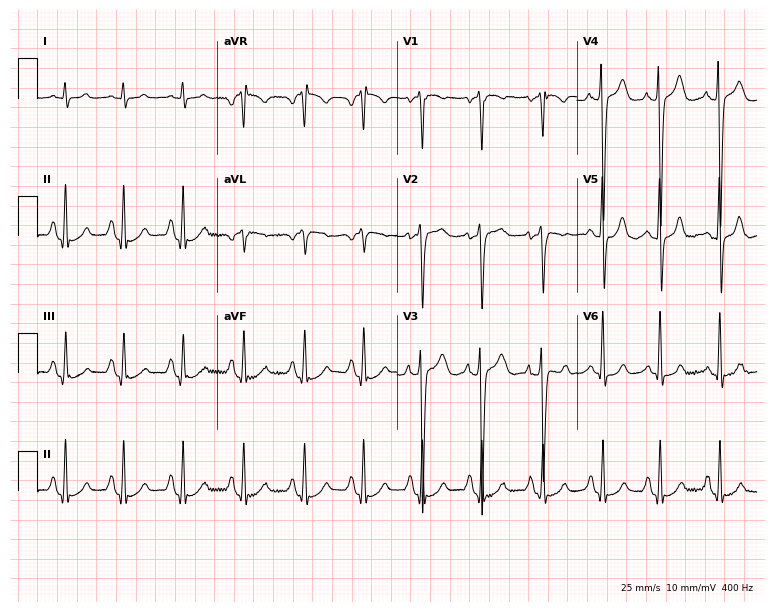
12-lead ECG (7.3-second recording at 400 Hz) from a male, 66 years old. Screened for six findings — first-degree AV block, right bundle branch block, left bundle branch block, sinus bradycardia, atrial fibrillation, sinus tachycardia — none is recorded.